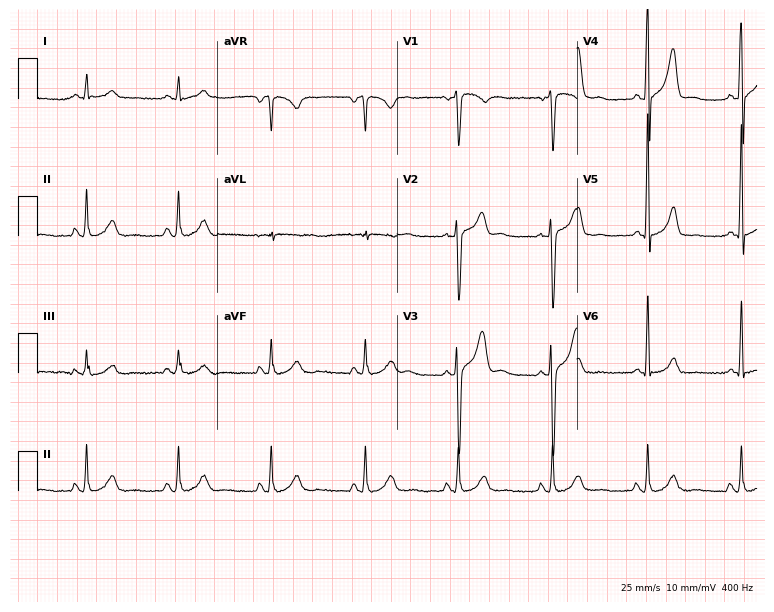
Electrocardiogram, a male patient, 42 years old. Of the six screened findings (first-degree AV block, right bundle branch block (RBBB), left bundle branch block (LBBB), sinus bradycardia, atrial fibrillation (AF), sinus tachycardia), none is recorded.